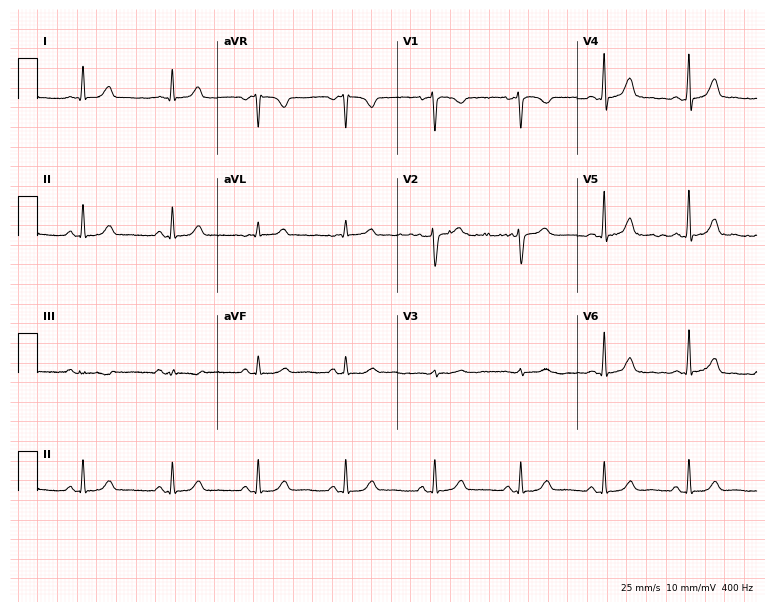
Electrocardiogram (7.3-second recording at 400 Hz), a 41-year-old female patient. Of the six screened findings (first-degree AV block, right bundle branch block (RBBB), left bundle branch block (LBBB), sinus bradycardia, atrial fibrillation (AF), sinus tachycardia), none is recorded. Findings outside these six are not listed.